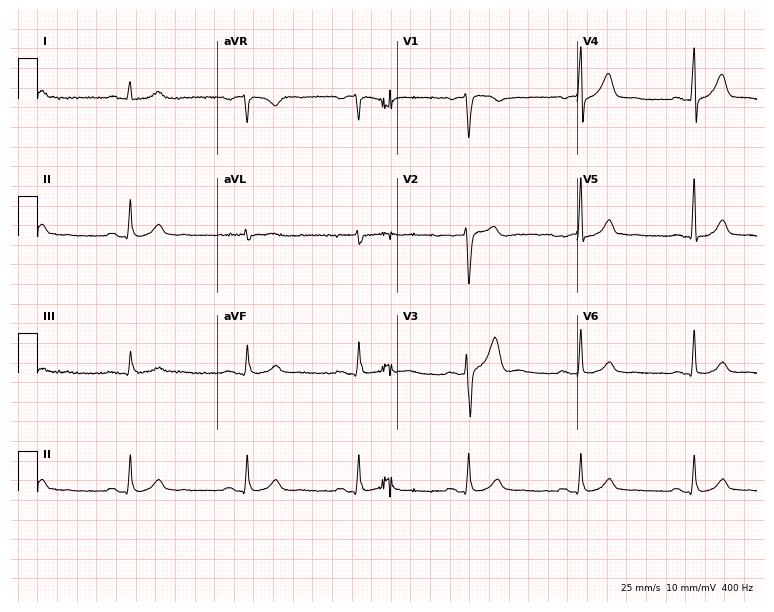
12-lead ECG from a male patient, 74 years old (7.3-second recording at 400 Hz). Recorded interpretation: within normal limits.